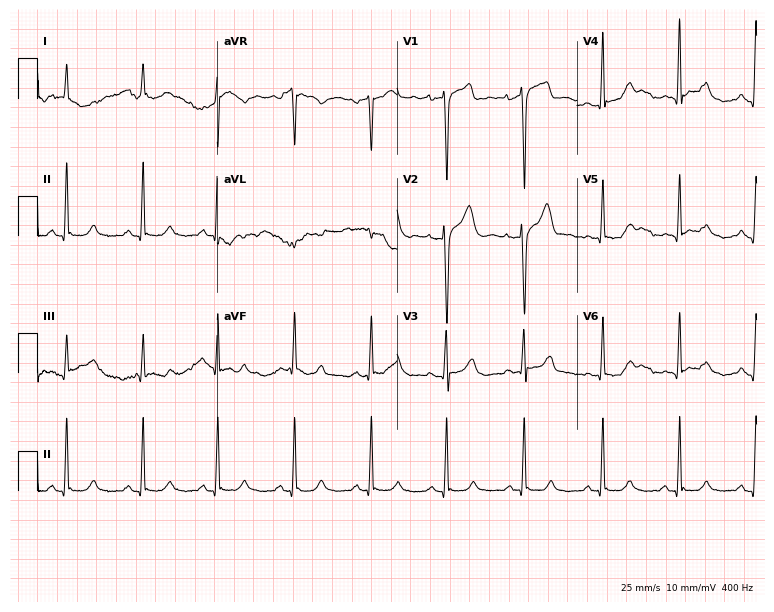
12-lead ECG from a man, 61 years old. No first-degree AV block, right bundle branch block, left bundle branch block, sinus bradycardia, atrial fibrillation or sinus tachycardia recorded for this tracing. Findings outside these six are not listed.